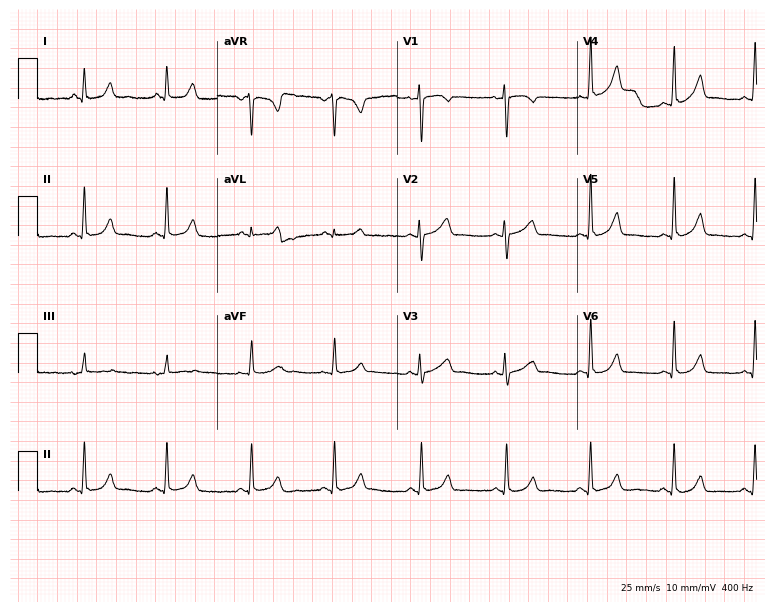
12-lead ECG from a 37-year-old female (7.3-second recording at 400 Hz). Recorded interpretation: within normal limits.